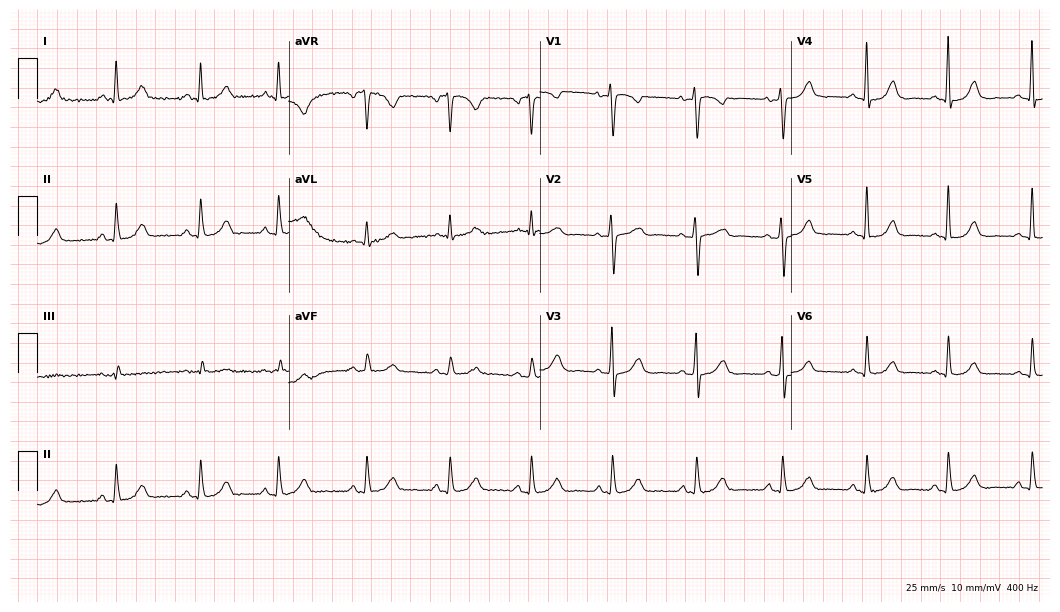
Electrocardiogram, a woman, 36 years old. Of the six screened findings (first-degree AV block, right bundle branch block (RBBB), left bundle branch block (LBBB), sinus bradycardia, atrial fibrillation (AF), sinus tachycardia), none is recorded.